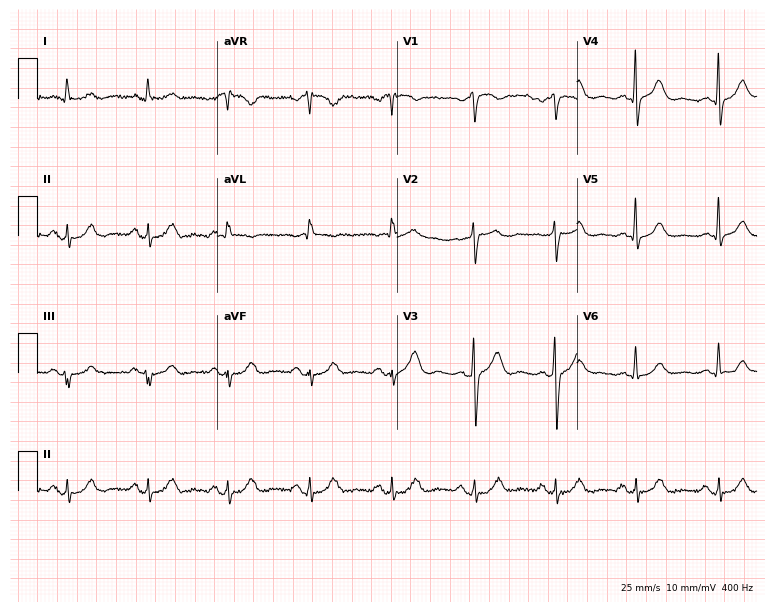
ECG — a man, 72 years old. Labelled as a normal ECG.